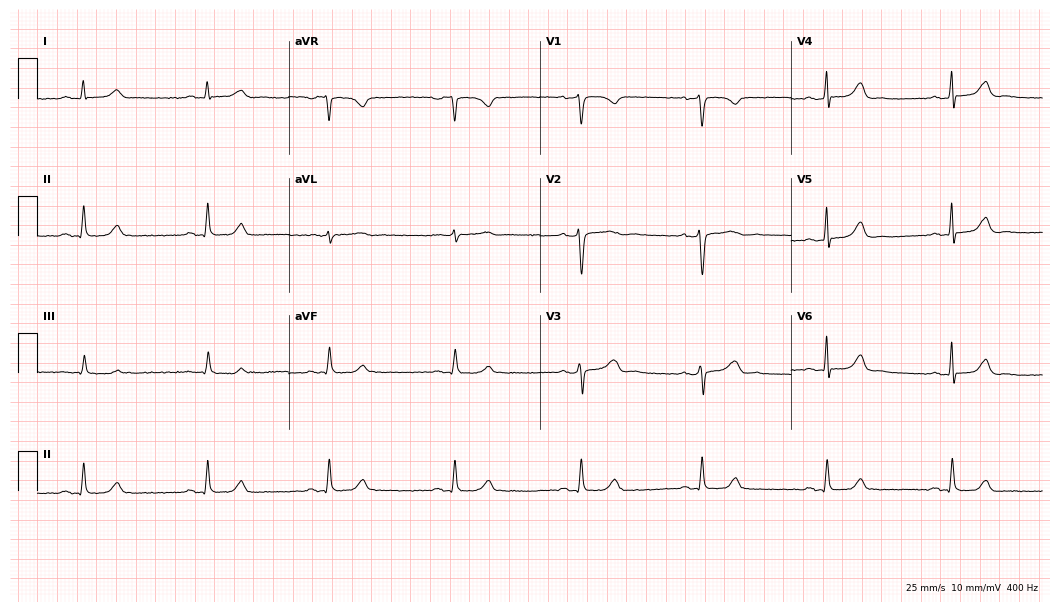
Electrocardiogram (10.2-second recording at 400 Hz), a woman, 48 years old. Interpretation includes sinus bradycardia (a sinus rate of 50 beats per minute or less).